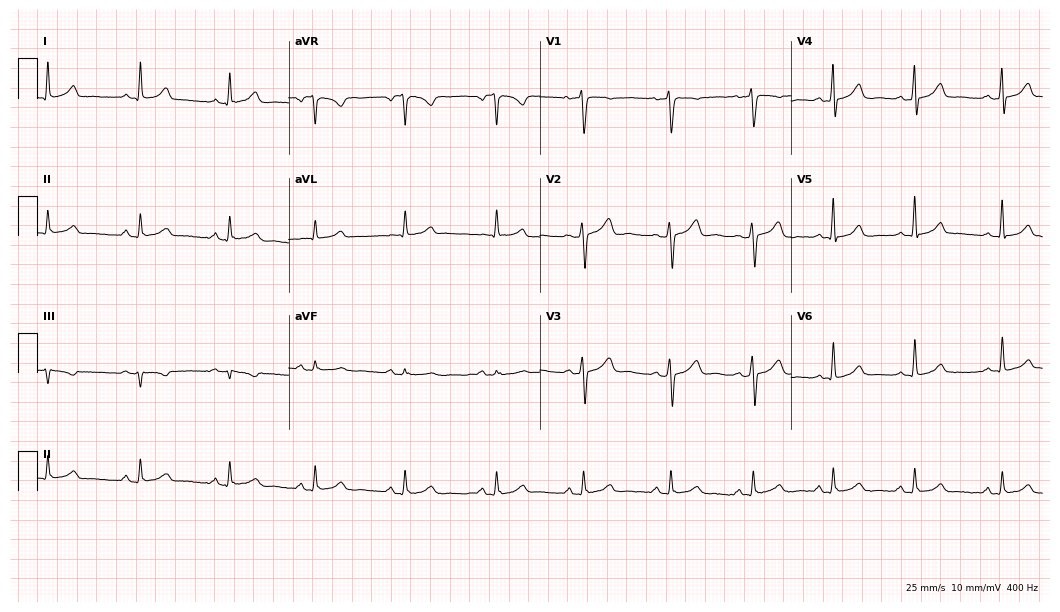
ECG (10.2-second recording at 400 Hz) — a 37-year-old female. Labelled as a normal ECG.